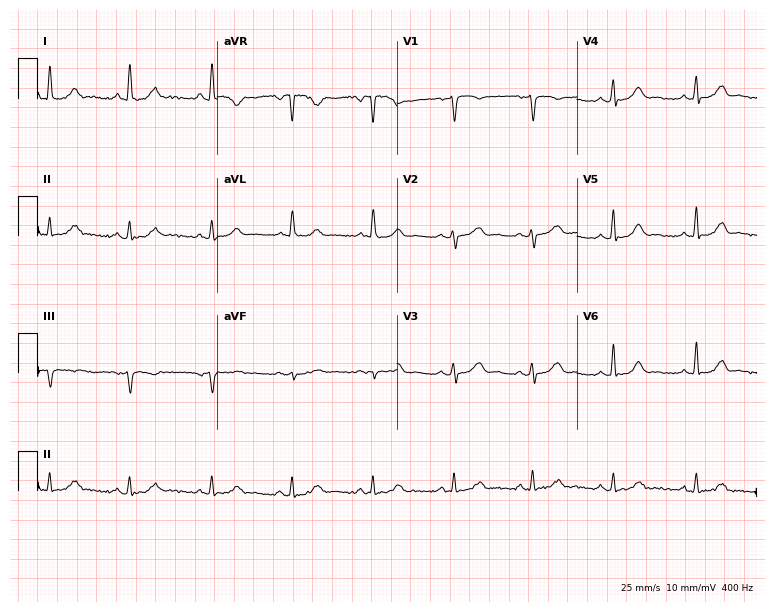
ECG — a 54-year-old woman. Screened for six findings — first-degree AV block, right bundle branch block, left bundle branch block, sinus bradycardia, atrial fibrillation, sinus tachycardia — none is recorded. Only these six findings were labelled.